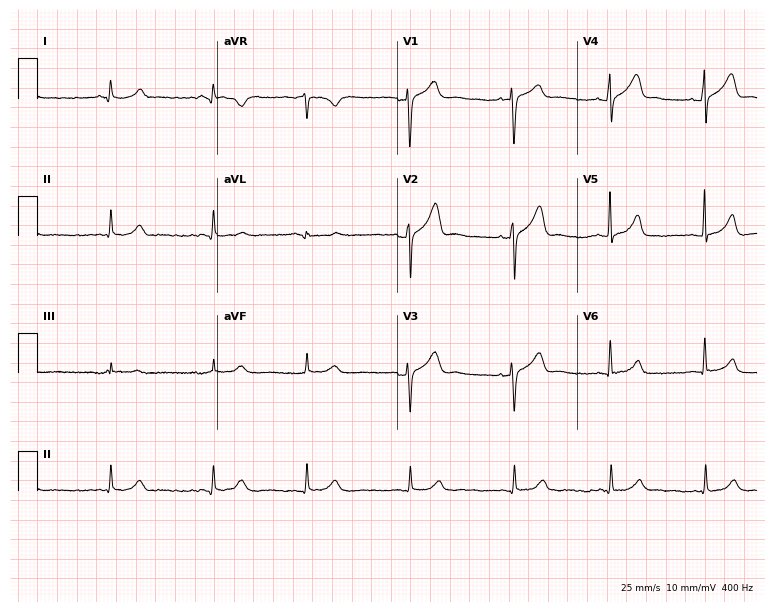
12-lead ECG (7.3-second recording at 400 Hz) from a male, 28 years old. Labelled as a normal ECG.